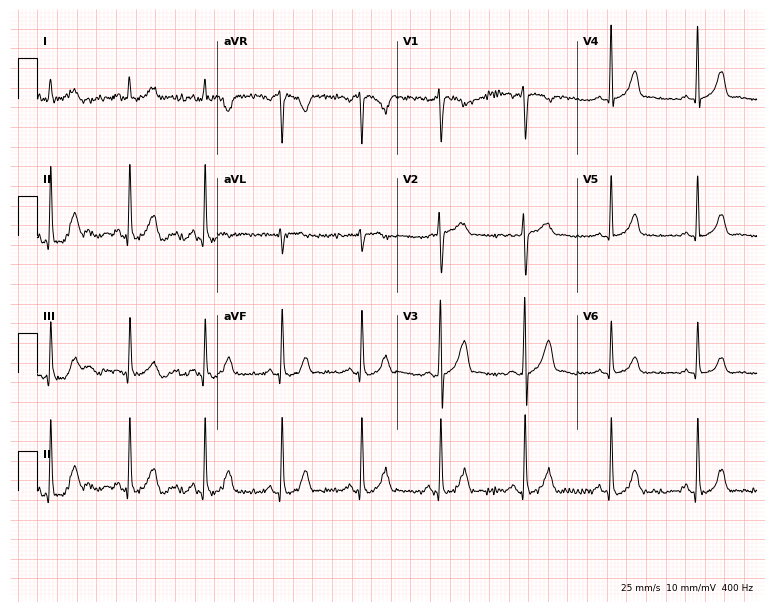
Standard 12-lead ECG recorded from a 20-year-old female (7.3-second recording at 400 Hz). Read as a normal ECG.